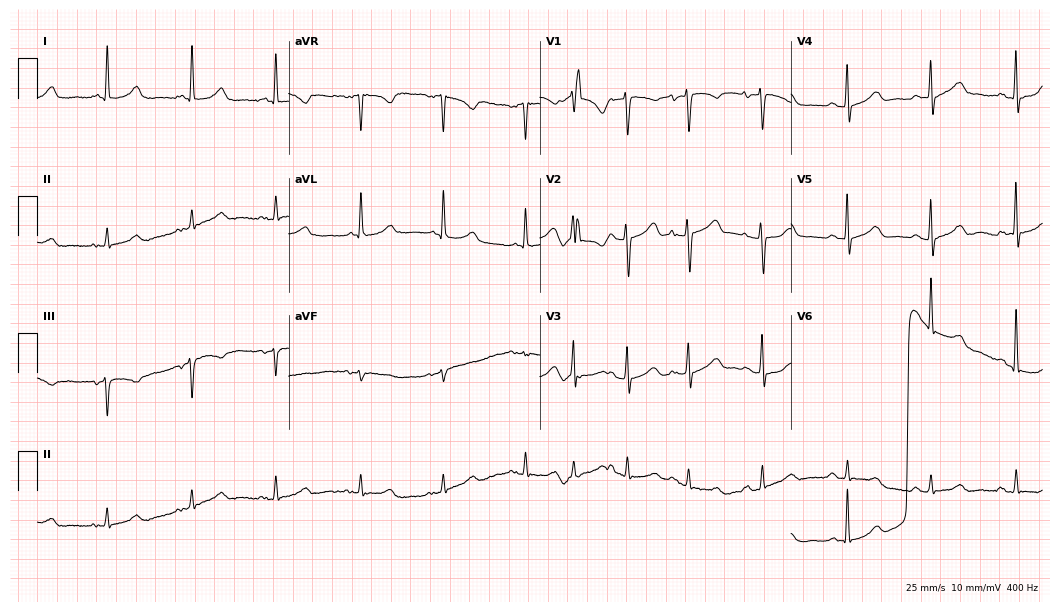
ECG (10.2-second recording at 400 Hz) — a female patient, 85 years old. Labelled as a normal ECG.